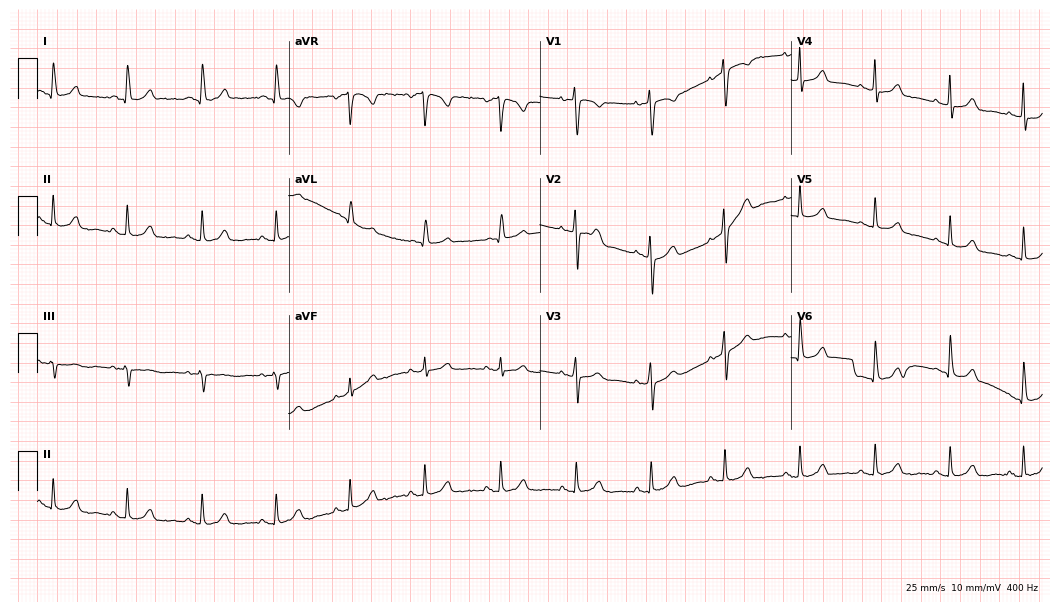
Standard 12-lead ECG recorded from a 64-year-old female patient. Read as a normal ECG.